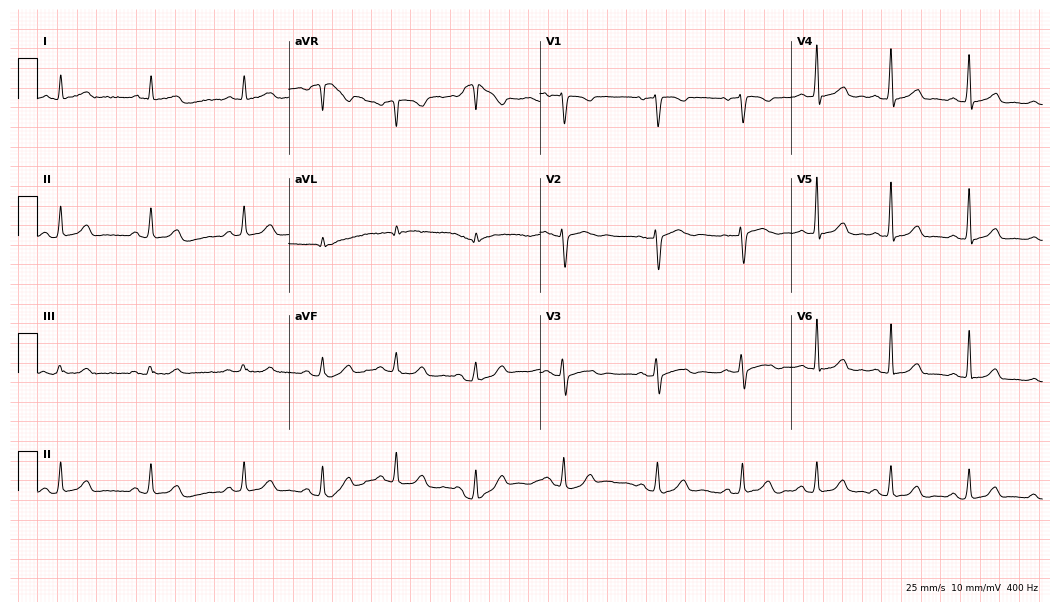
ECG — a 51-year-old female patient. Screened for six findings — first-degree AV block, right bundle branch block, left bundle branch block, sinus bradycardia, atrial fibrillation, sinus tachycardia — none is recorded.